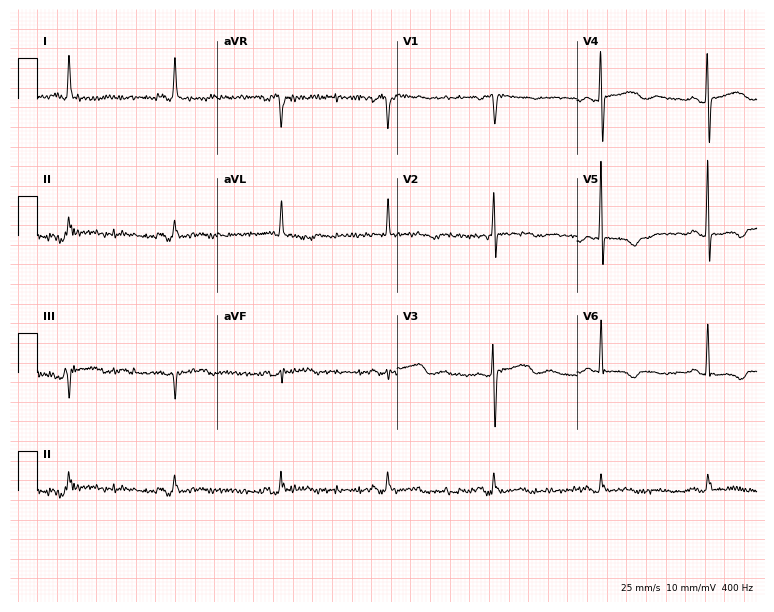
Electrocardiogram (7.3-second recording at 400 Hz), a 78-year-old female. Of the six screened findings (first-degree AV block, right bundle branch block, left bundle branch block, sinus bradycardia, atrial fibrillation, sinus tachycardia), none is recorded. Other findings, if any, are not listed.